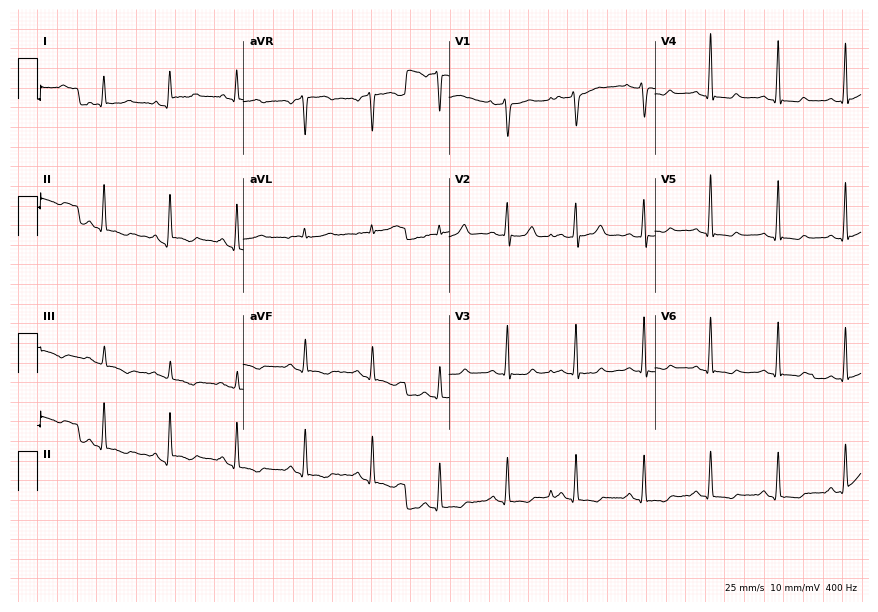
Electrocardiogram, a 42-year-old female patient. Of the six screened findings (first-degree AV block, right bundle branch block, left bundle branch block, sinus bradycardia, atrial fibrillation, sinus tachycardia), none is recorded. Other findings, if any, are not listed.